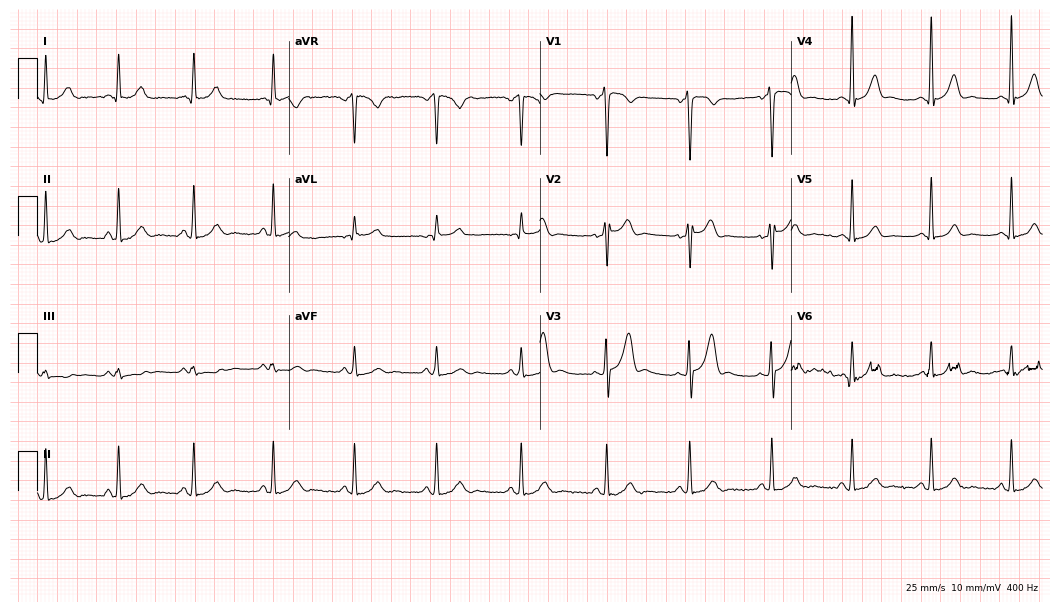
Resting 12-lead electrocardiogram. Patient: a 31-year-old man. Read as a normal ECG.